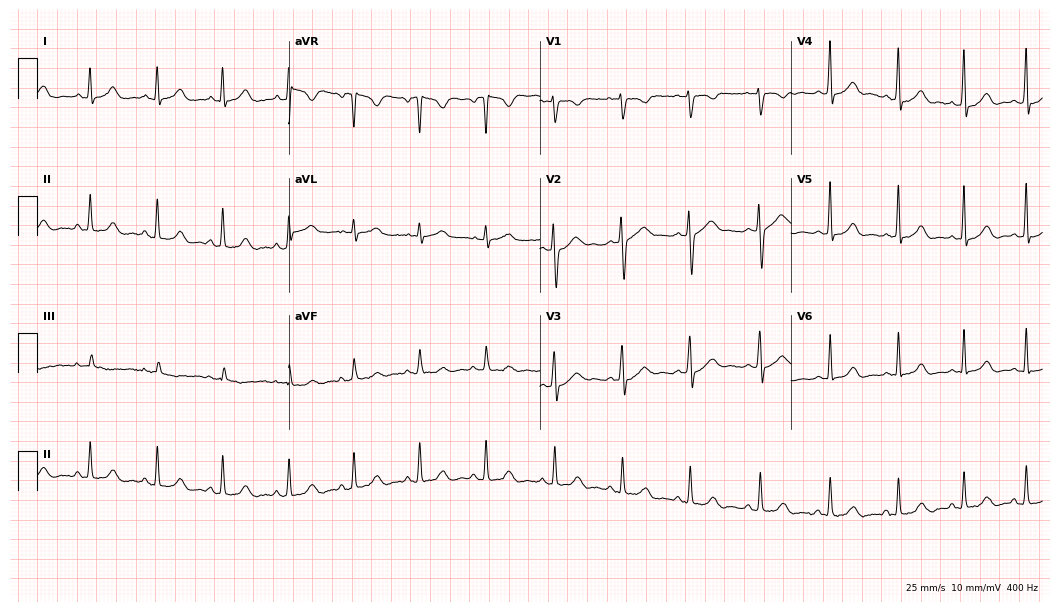
ECG — a woman, 20 years old. Labelled as a normal ECG.